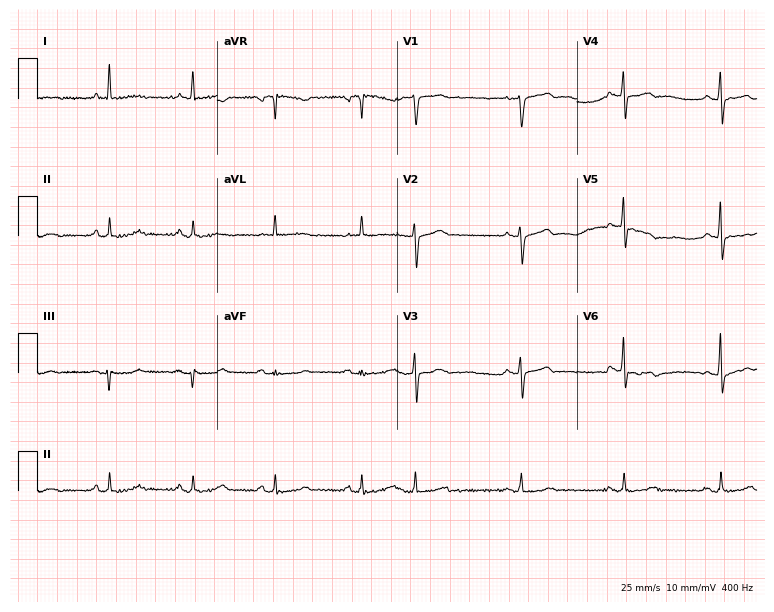
ECG — a 75-year-old female. Screened for six findings — first-degree AV block, right bundle branch block, left bundle branch block, sinus bradycardia, atrial fibrillation, sinus tachycardia — none is recorded.